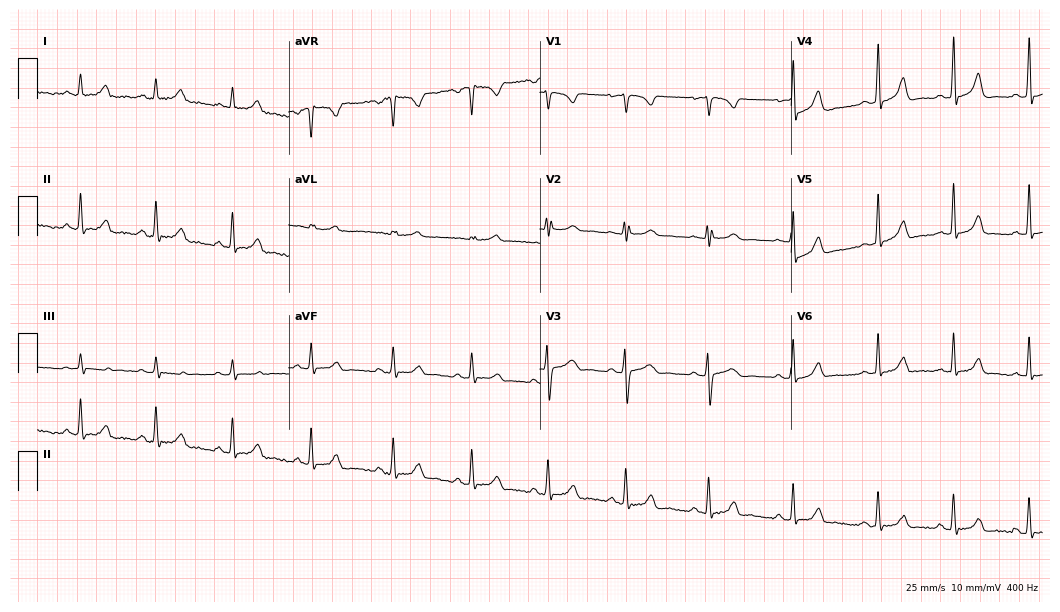
Resting 12-lead electrocardiogram. Patient: a woman, 19 years old. None of these six findings is recorded: first-degree AV block, right bundle branch block, left bundle branch block, sinus bradycardia, atrial fibrillation, sinus tachycardia. Other findings, if any, are not listed.